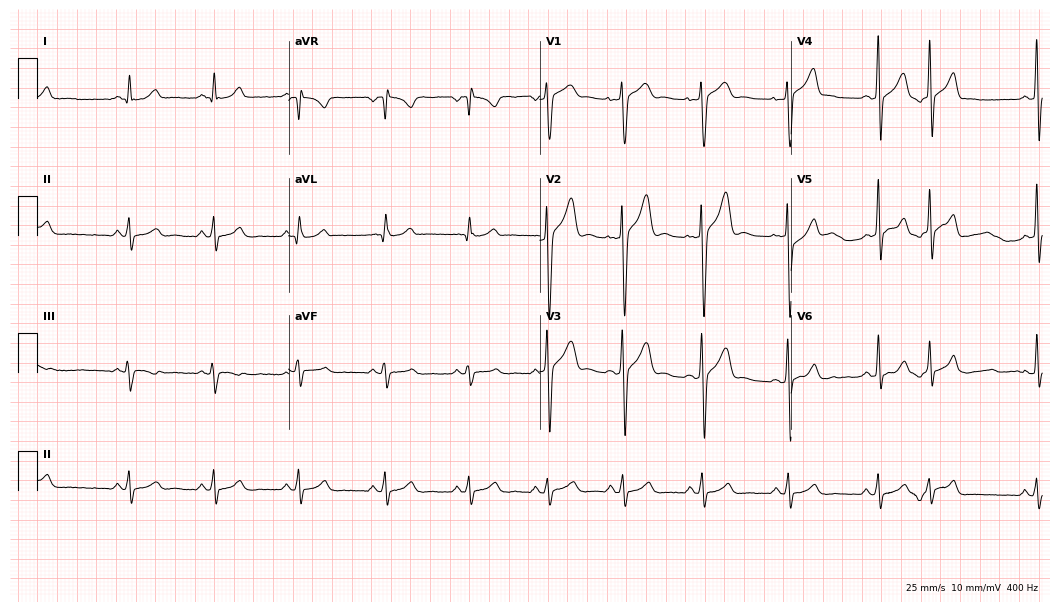
ECG — a 22-year-old man. Screened for six findings — first-degree AV block, right bundle branch block (RBBB), left bundle branch block (LBBB), sinus bradycardia, atrial fibrillation (AF), sinus tachycardia — none is recorded.